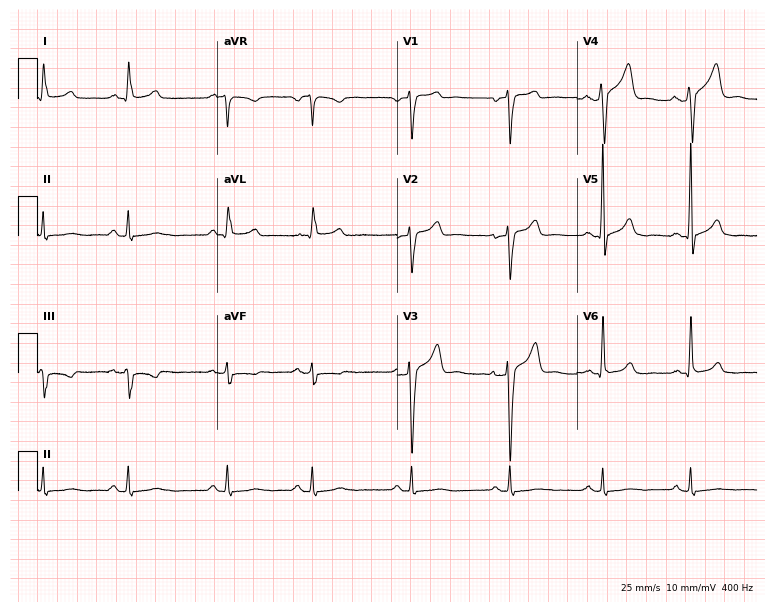
Resting 12-lead electrocardiogram (7.3-second recording at 400 Hz). Patient: a 56-year-old male. None of these six findings is recorded: first-degree AV block, right bundle branch block (RBBB), left bundle branch block (LBBB), sinus bradycardia, atrial fibrillation (AF), sinus tachycardia.